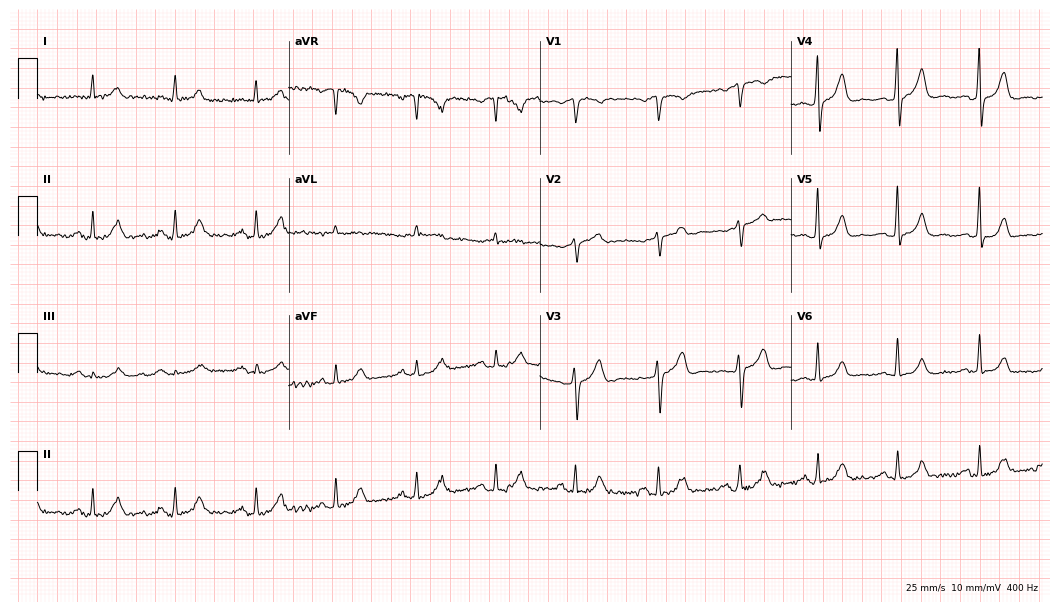
Standard 12-lead ECG recorded from a female, 57 years old. Read as a normal ECG.